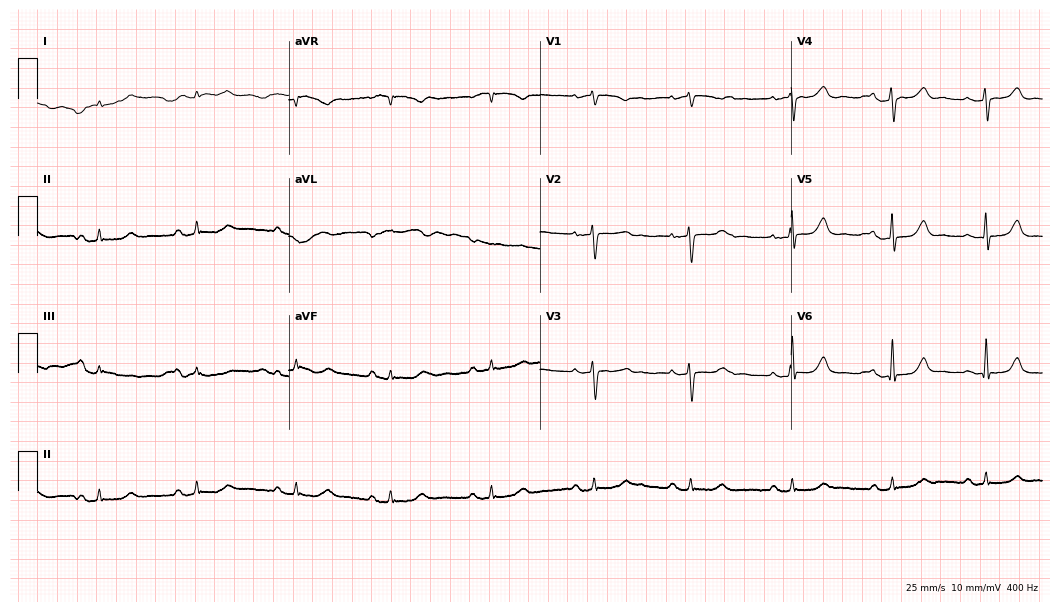
12-lead ECG from a female, 75 years old. Screened for six findings — first-degree AV block, right bundle branch block, left bundle branch block, sinus bradycardia, atrial fibrillation, sinus tachycardia — none is recorded. Other findings, if any, are not listed.